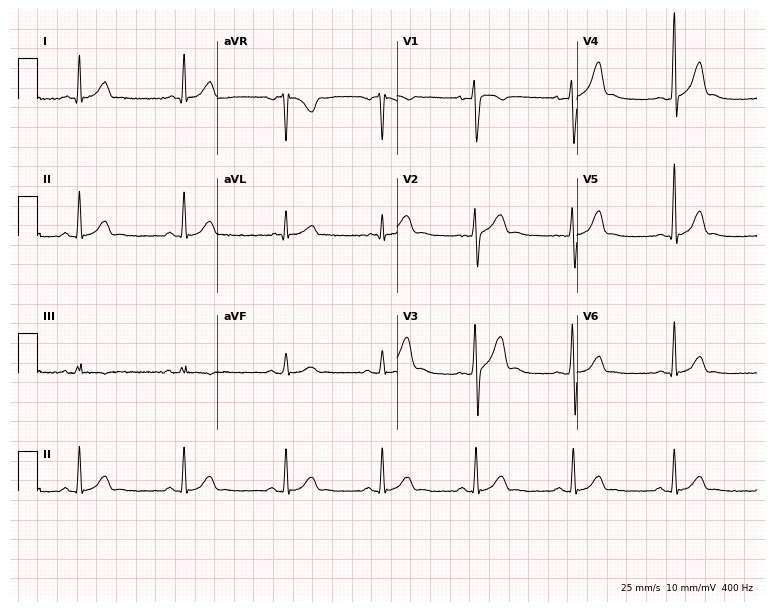
ECG (7.3-second recording at 400 Hz) — a 24-year-old male patient. Labelled as a normal ECG.